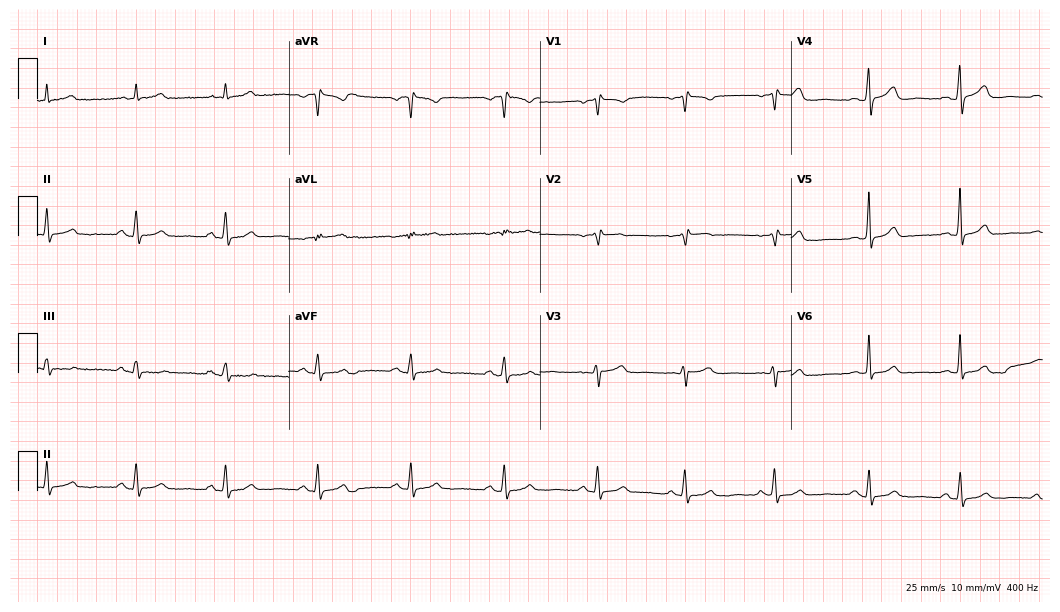
Electrocardiogram (10.2-second recording at 400 Hz), a woman, 62 years old. Overall reading on record: normal ECG.